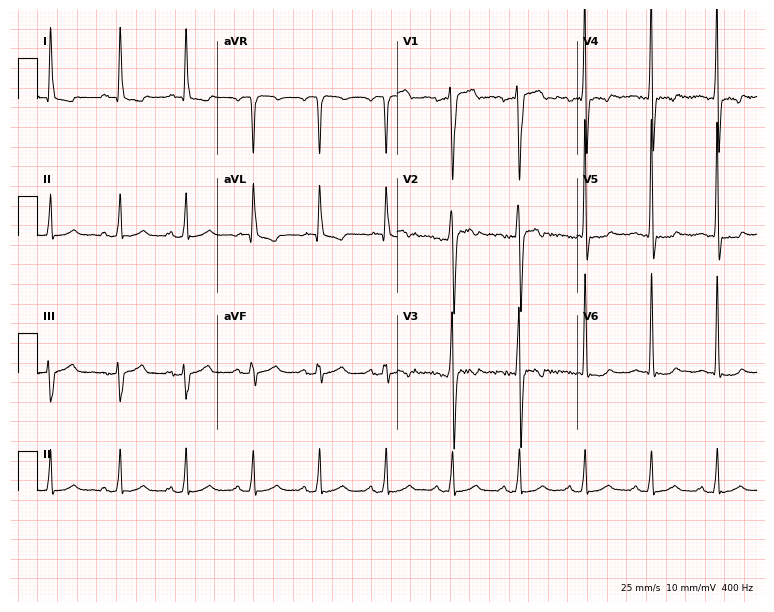
Standard 12-lead ECG recorded from a 39-year-old male (7.3-second recording at 400 Hz). None of these six findings is recorded: first-degree AV block, right bundle branch block (RBBB), left bundle branch block (LBBB), sinus bradycardia, atrial fibrillation (AF), sinus tachycardia. Only these six findings were labelled.